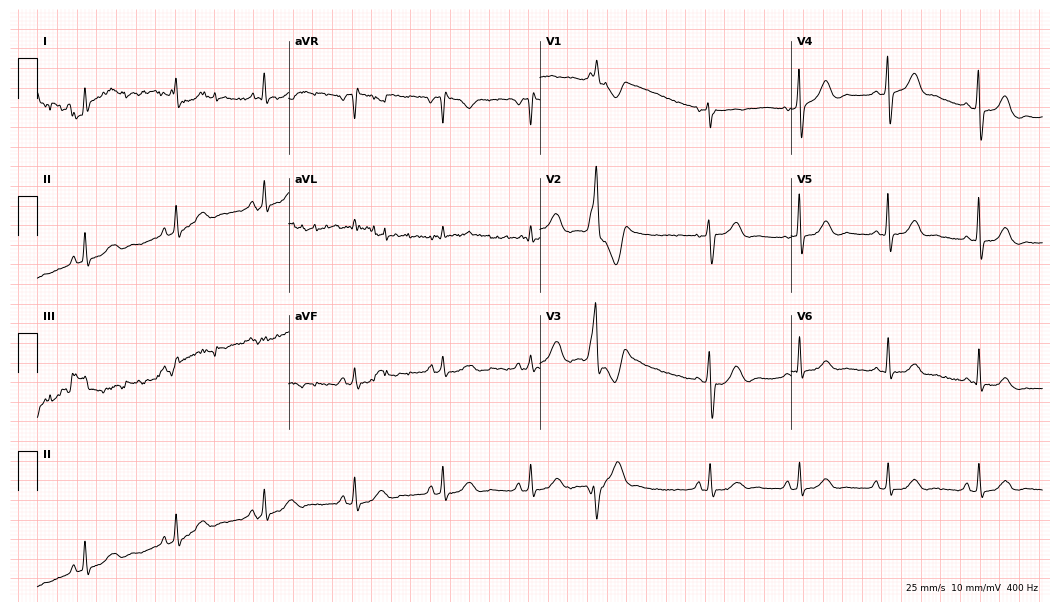
12-lead ECG from a male patient, 65 years old. Screened for six findings — first-degree AV block, right bundle branch block, left bundle branch block, sinus bradycardia, atrial fibrillation, sinus tachycardia — none is recorded.